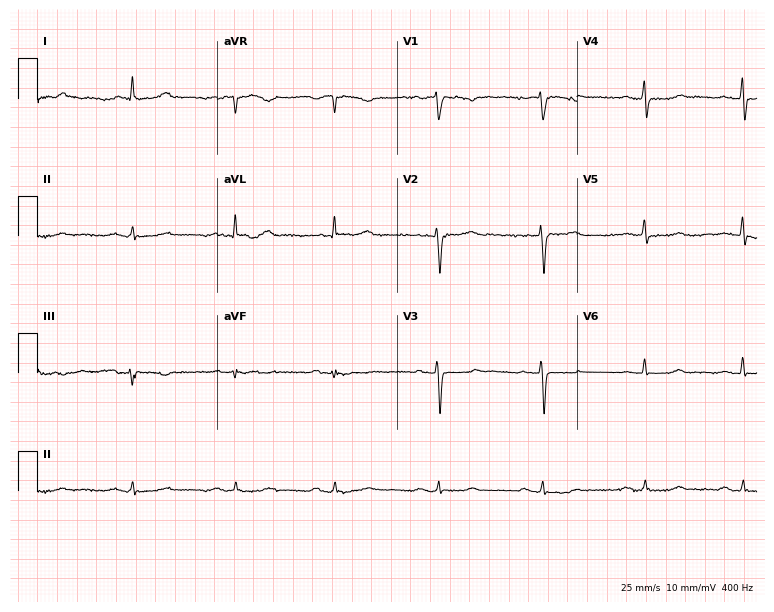
12-lead ECG from a 78-year-old woman (7.3-second recording at 400 Hz). No first-degree AV block, right bundle branch block, left bundle branch block, sinus bradycardia, atrial fibrillation or sinus tachycardia recorded for this tracing. Other findings, if any, are not listed.